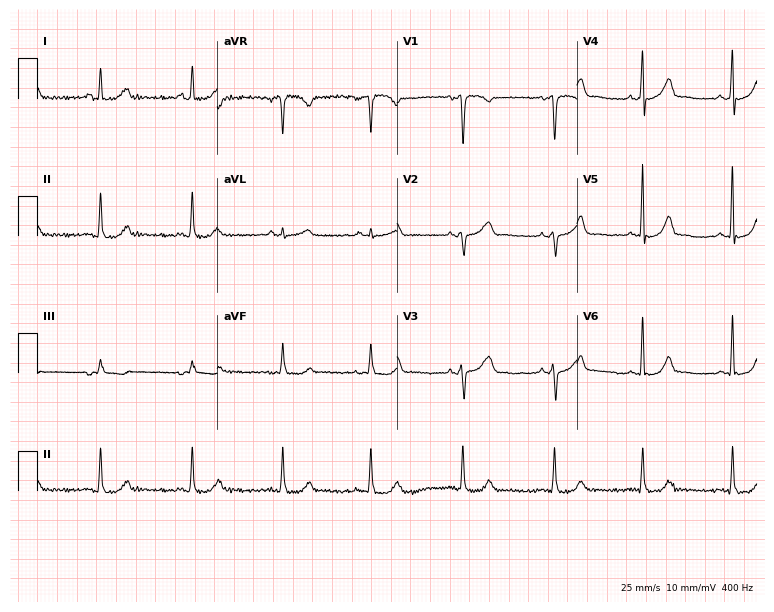
Standard 12-lead ECG recorded from a woman, 43 years old (7.3-second recording at 400 Hz). None of these six findings is recorded: first-degree AV block, right bundle branch block, left bundle branch block, sinus bradycardia, atrial fibrillation, sinus tachycardia. Findings outside these six are not listed.